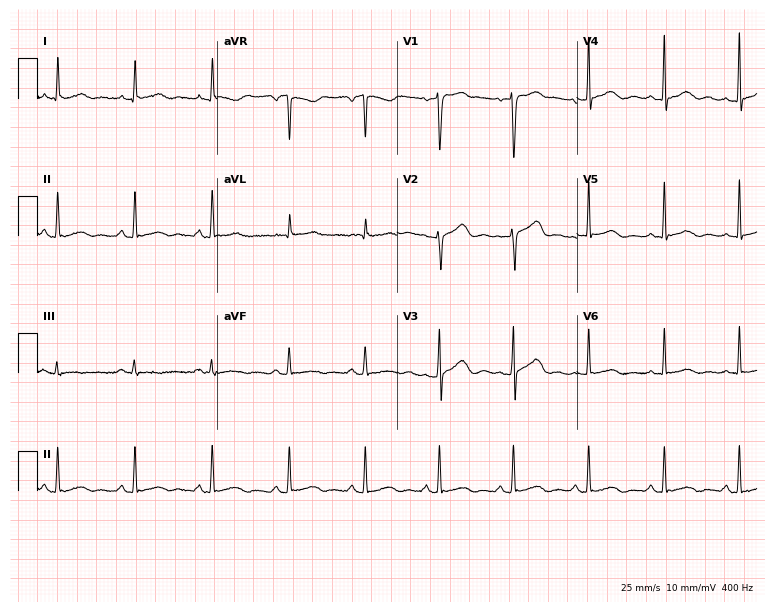
12-lead ECG from a 44-year-old female patient. Recorded interpretation: within normal limits.